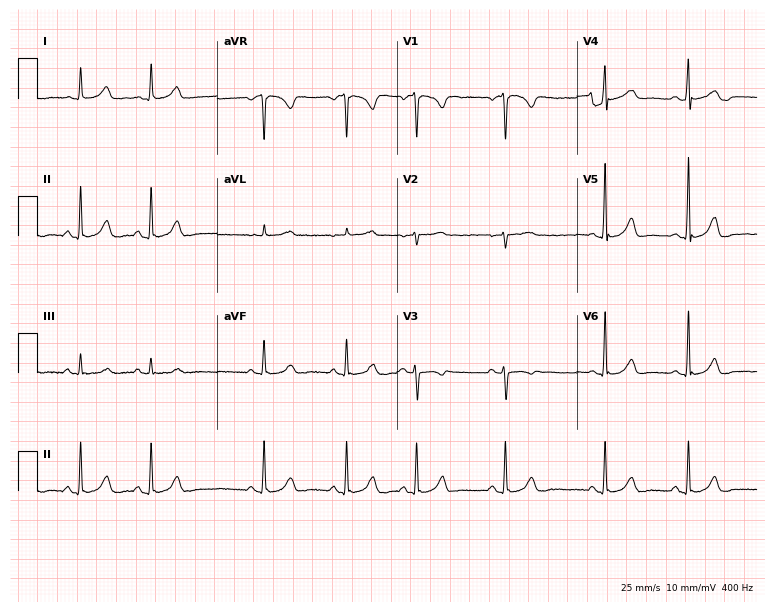
ECG (7.3-second recording at 400 Hz) — a 23-year-old female. Labelled as a normal ECG.